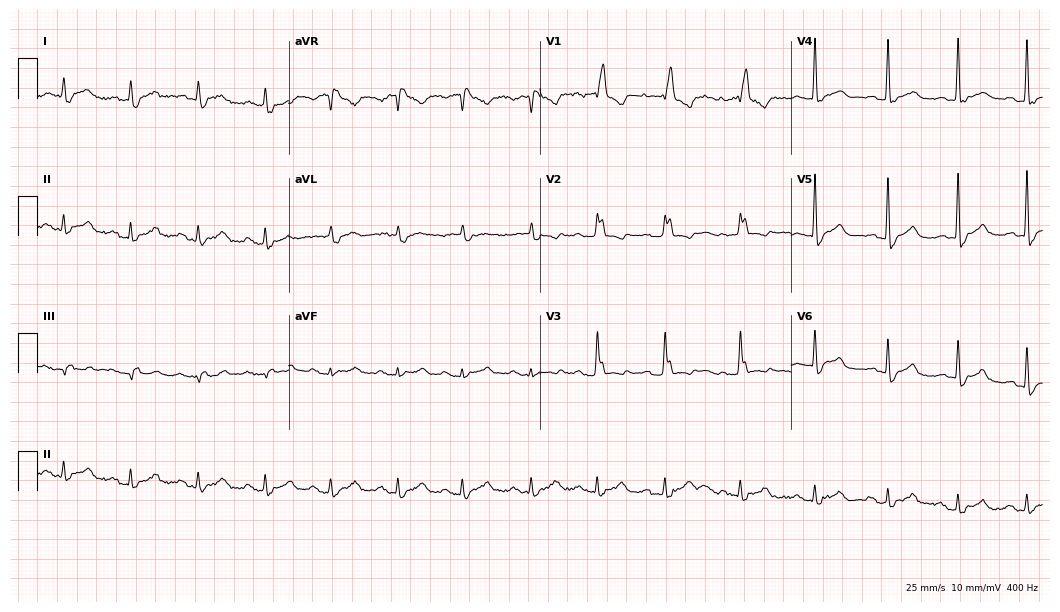
12-lead ECG from an 87-year-old male patient. Shows right bundle branch block.